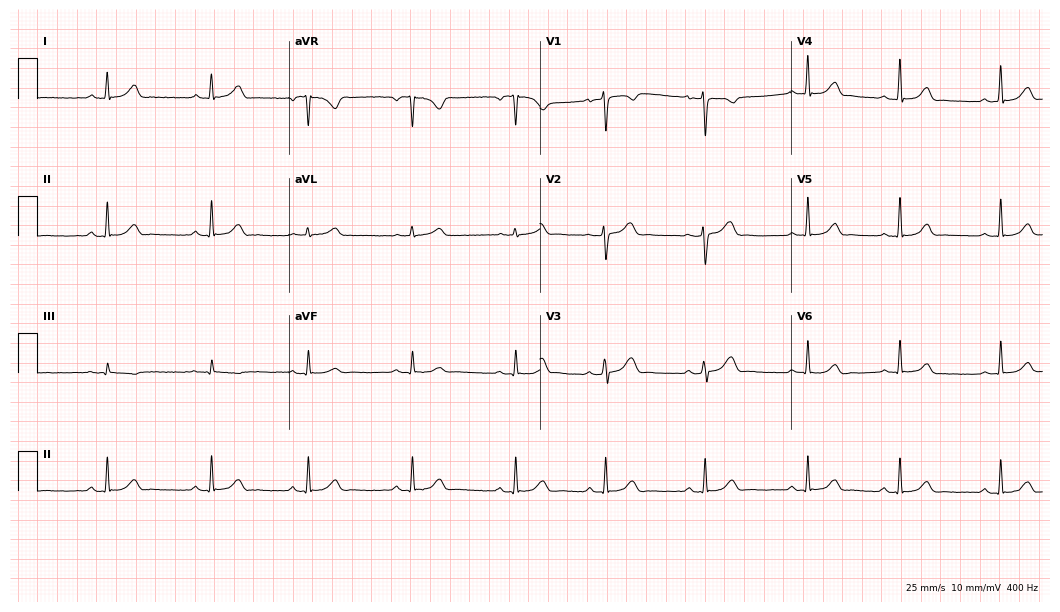
ECG (10.2-second recording at 400 Hz) — a 44-year-old woman. Labelled as a normal ECG.